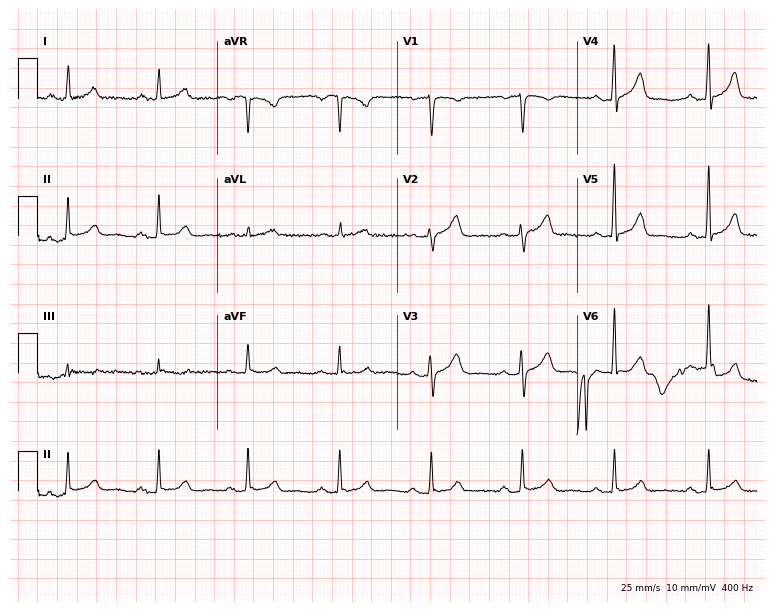
Resting 12-lead electrocardiogram. Patient: a 67-year-old female. Read as a normal ECG.